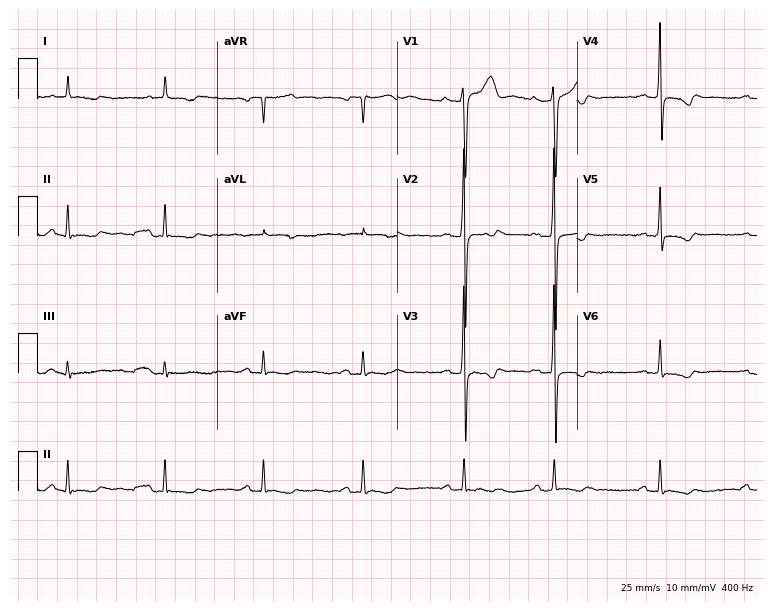
12-lead ECG (7.3-second recording at 400 Hz) from a male patient, 73 years old. Screened for six findings — first-degree AV block, right bundle branch block, left bundle branch block, sinus bradycardia, atrial fibrillation, sinus tachycardia — none is recorded. Only these six findings were labelled.